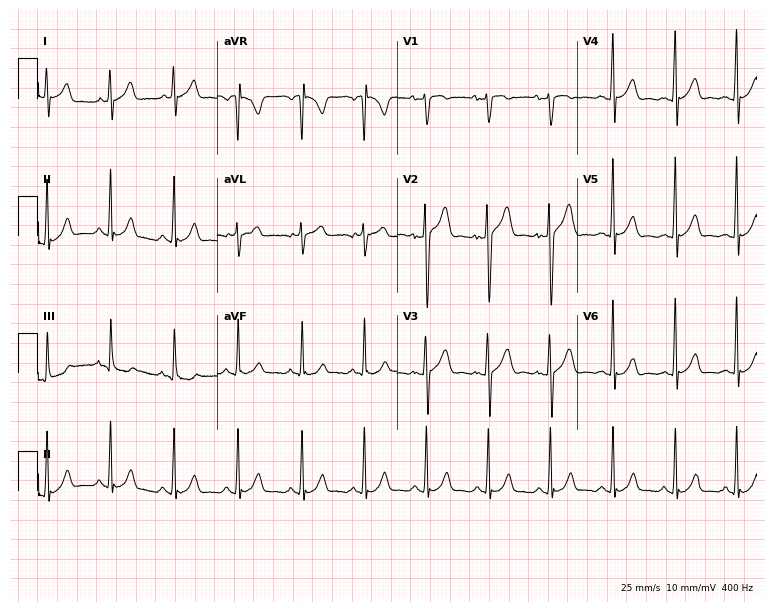
Electrocardiogram (7.3-second recording at 400 Hz), a 24-year-old male. Overall reading on record: normal ECG.